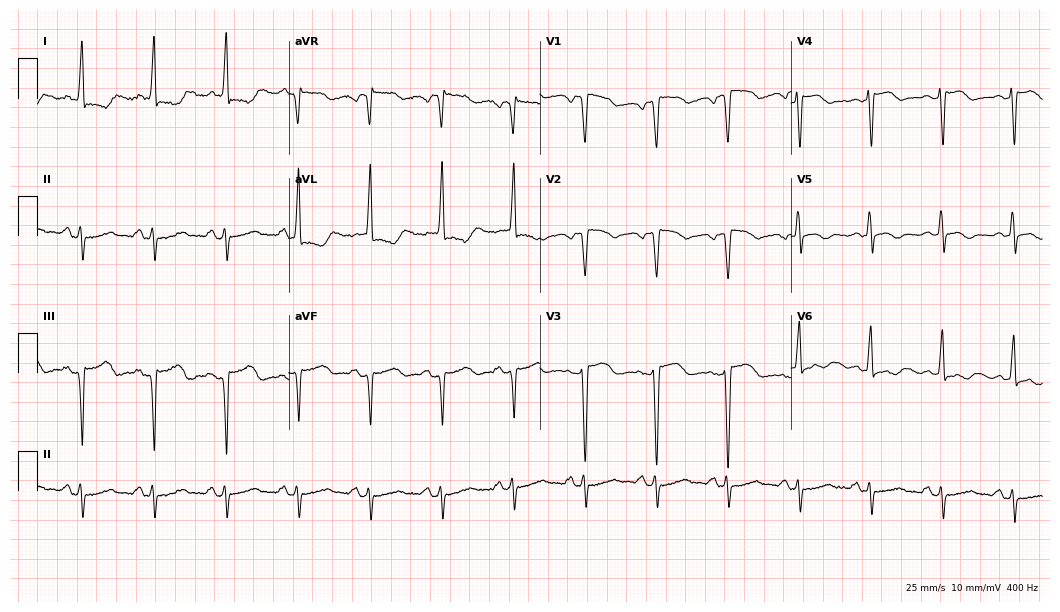
Electrocardiogram (10.2-second recording at 400 Hz), a 77-year-old woman. Of the six screened findings (first-degree AV block, right bundle branch block, left bundle branch block, sinus bradycardia, atrial fibrillation, sinus tachycardia), none is recorded.